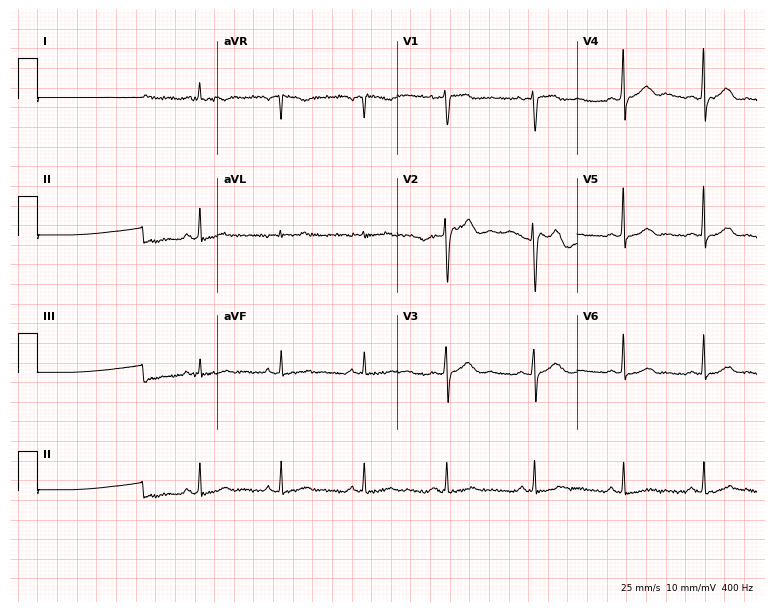
12-lead ECG from a woman, 38 years old. Labelled as a normal ECG.